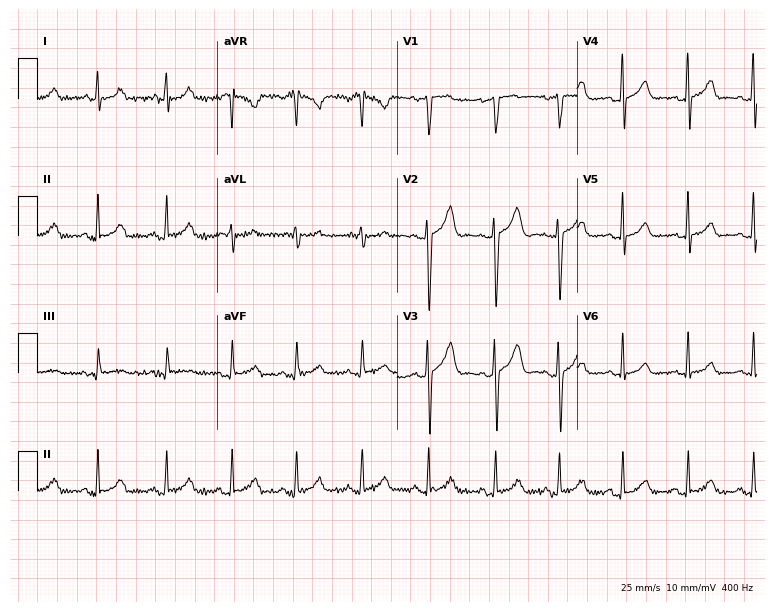
12-lead ECG (7.3-second recording at 400 Hz) from a female patient, 23 years old. Labelled as a normal ECG.